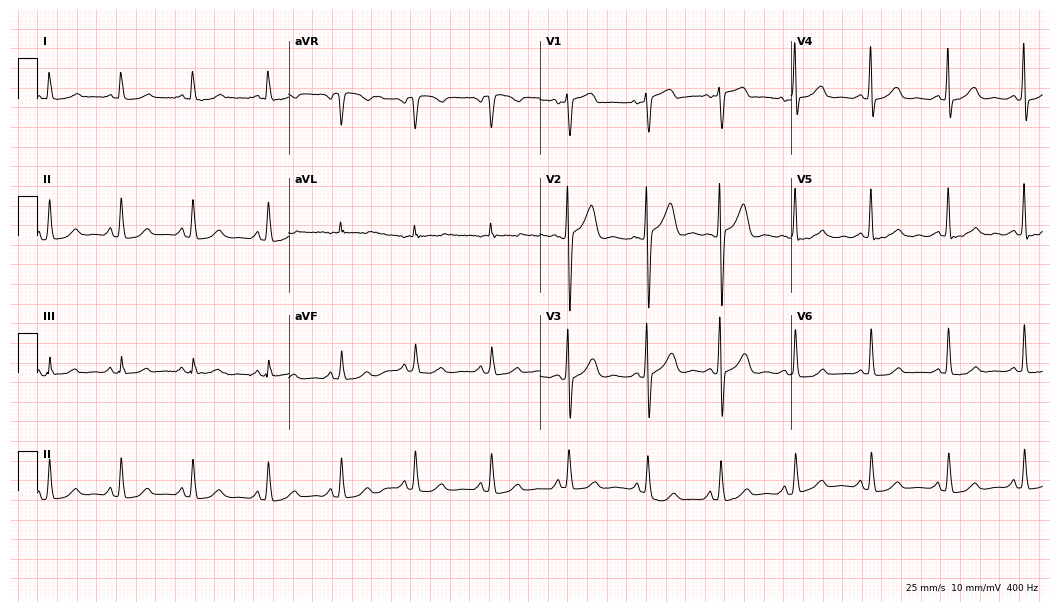
Standard 12-lead ECG recorded from a 53-year-old woman. Read as a normal ECG.